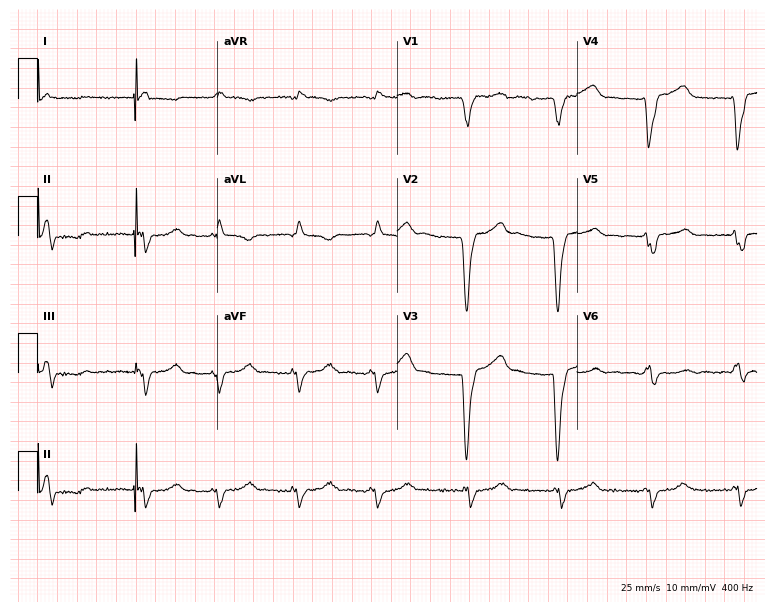
12-lead ECG from a 78-year-old woman. No first-degree AV block, right bundle branch block, left bundle branch block, sinus bradycardia, atrial fibrillation or sinus tachycardia recorded for this tracing. Only these six findings were labelled.